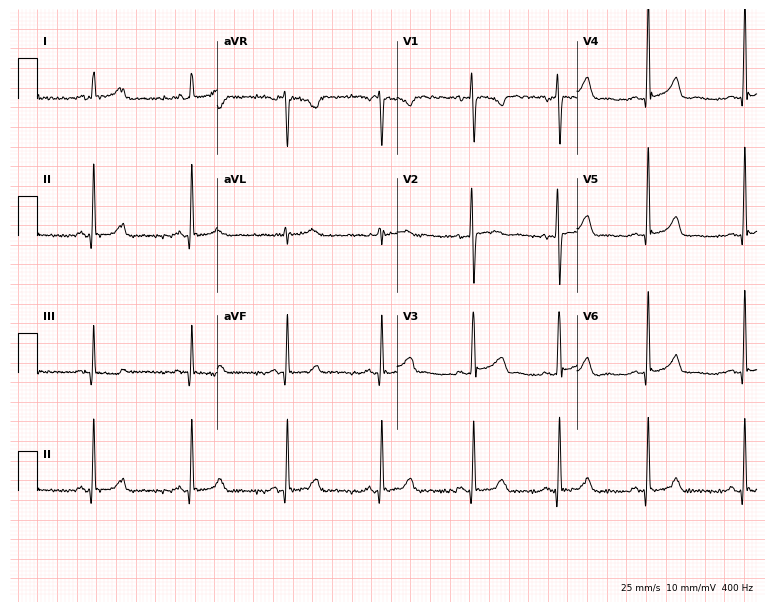
Electrocardiogram (7.3-second recording at 400 Hz), a female patient, 28 years old. Of the six screened findings (first-degree AV block, right bundle branch block (RBBB), left bundle branch block (LBBB), sinus bradycardia, atrial fibrillation (AF), sinus tachycardia), none is recorded. Findings outside these six are not listed.